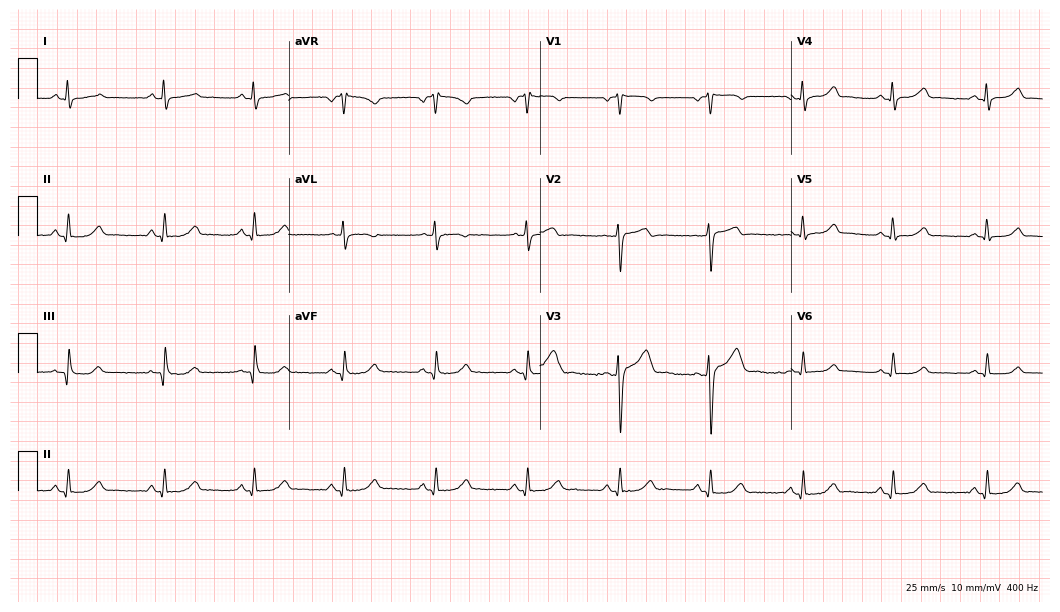
ECG (10.2-second recording at 400 Hz) — a female patient, 46 years old. Labelled as a normal ECG.